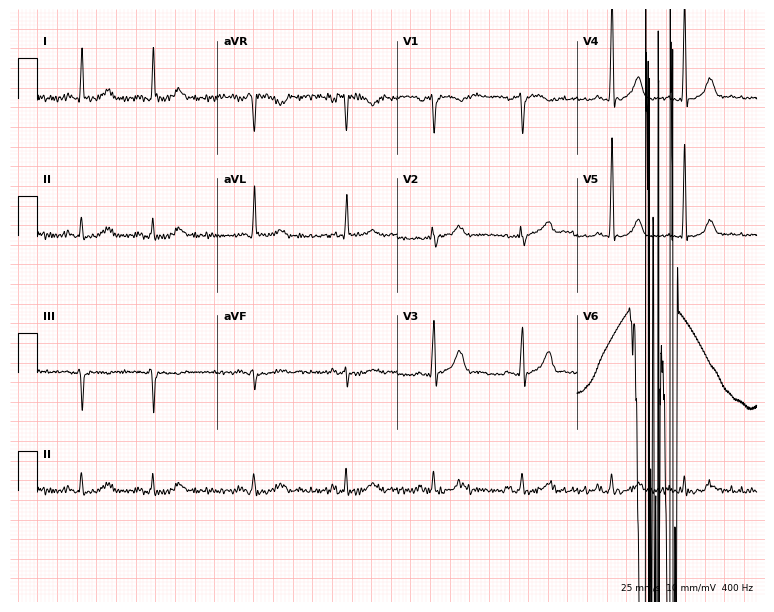
ECG — a 76-year-old male patient. Screened for six findings — first-degree AV block, right bundle branch block, left bundle branch block, sinus bradycardia, atrial fibrillation, sinus tachycardia — none is recorded. Only these six findings were labelled.